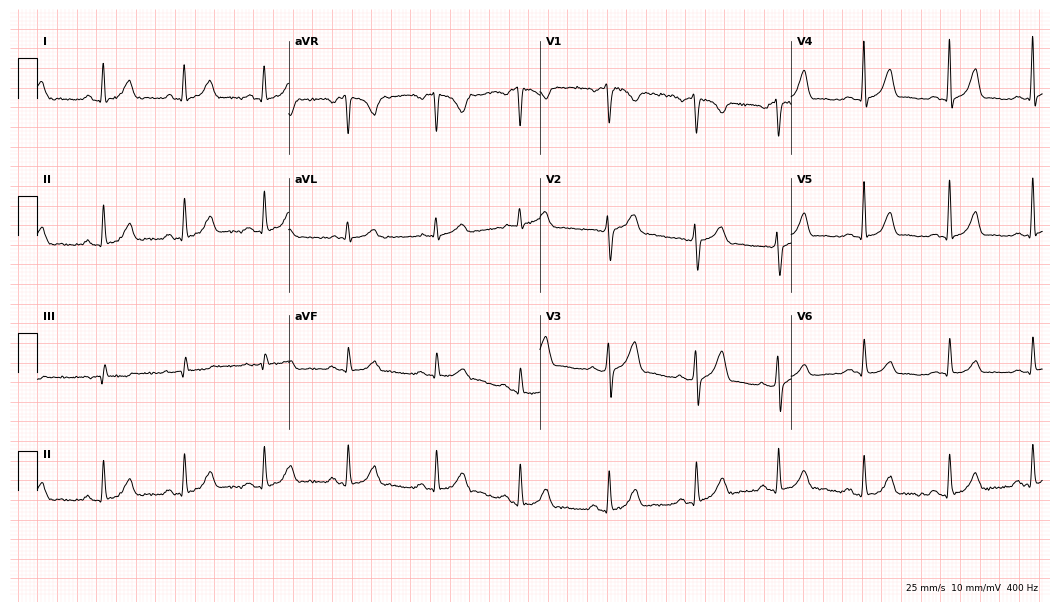
Electrocardiogram (10.2-second recording at 400 Hz), a 23-year-old female patient. Overall reading on record: normal ECG.